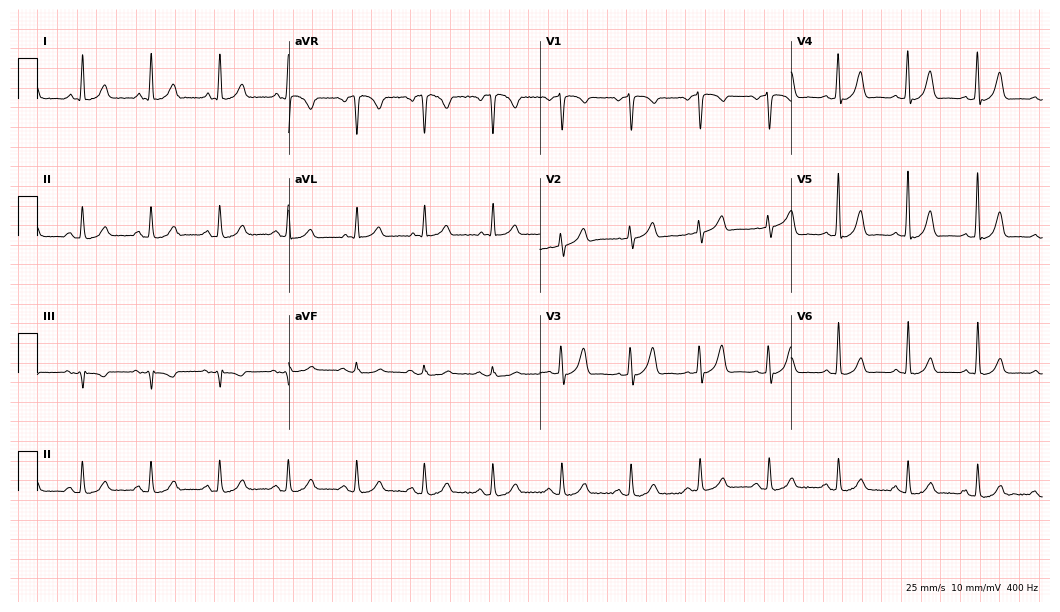
12-lead ECG (10.2-second recording at 400 Hz) from an 85-year-old woman. Screened for six findings — first-degree AV block, right bundle branch block, left bundle branch block, sinus bradycardia, atrial fibrillation, sinus tachycardia — none is recorded.